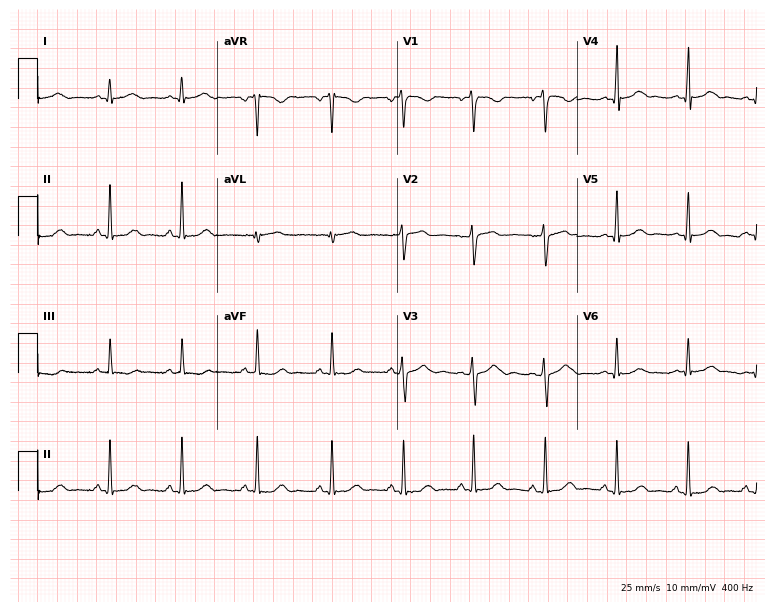
12-lead ECG from a woman, 30 years old (7.3-second recording at 400 Hz). Recorded interpretation: within normal limits.